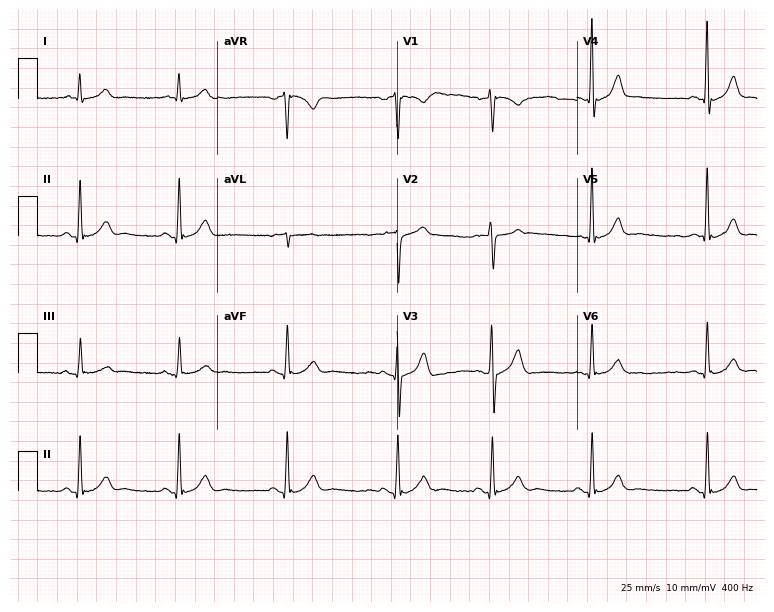
12-lead ECG (7.3-second recording at 400 Hz) from a 47-year-old man. Labelled as a normal ECG.